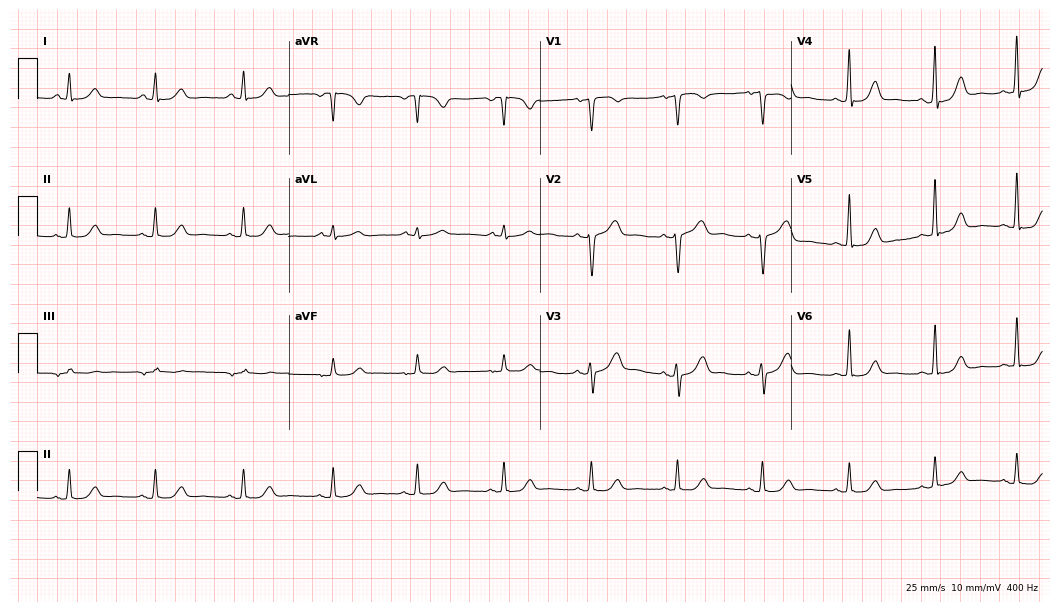
ECG — a 67-year-old female. Labelled as a normal ECG.